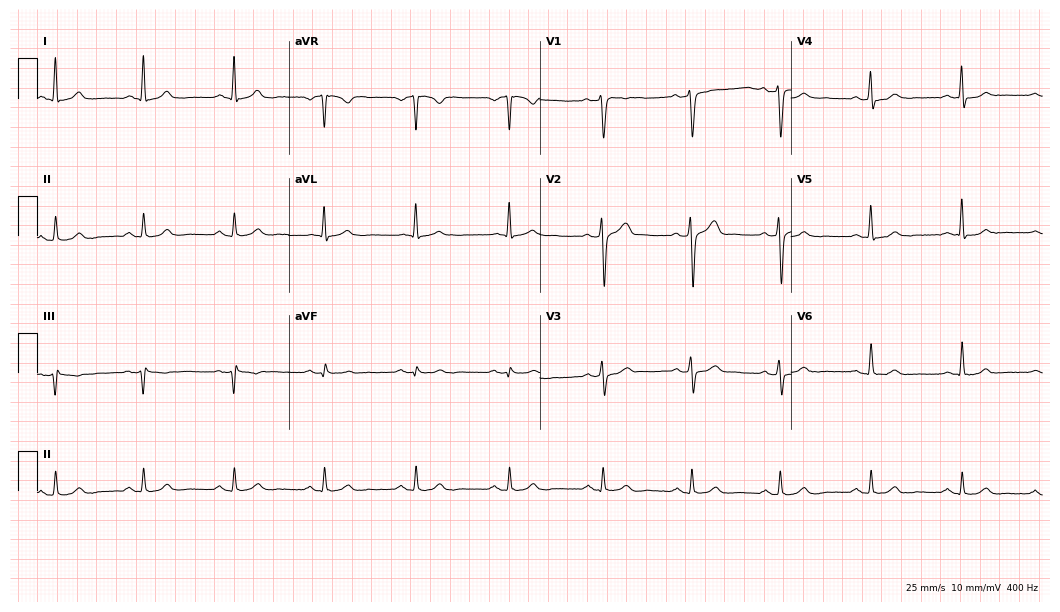
Standard 12-lead ECG recorded from a man, 36 years old. Read as a normal ECG.